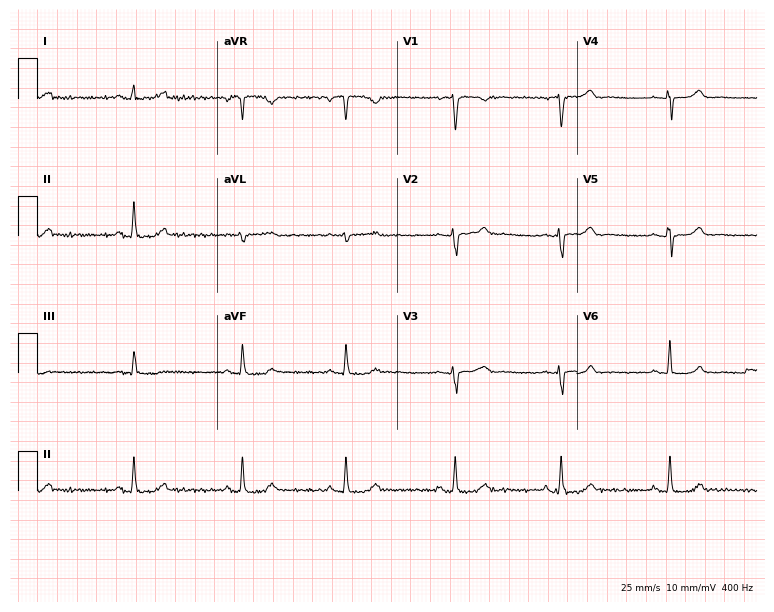
ECG — a 28-year-old male patient. Labelled as a normal ECG.